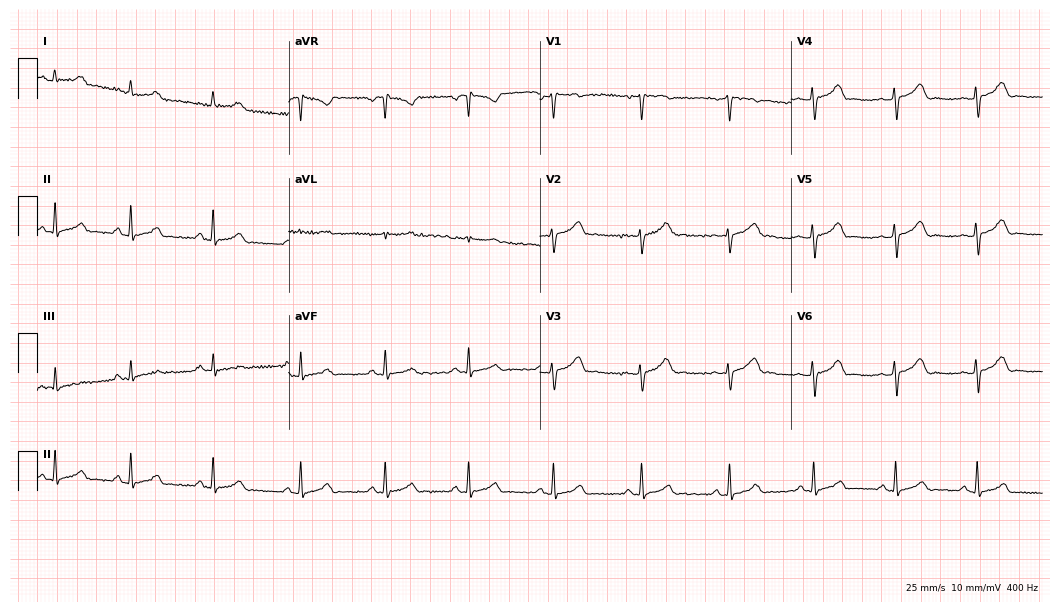
12-lead ECG from a 33-year-old female patient. Screened for six findings — first-degree AV block, right bundle branch block (RBBB), left bundle branch block (LBBB), sinus bradycardia, atrial fibrillation (AF), sinus tachycardia — none is recorded. Only these six findings were labelled.